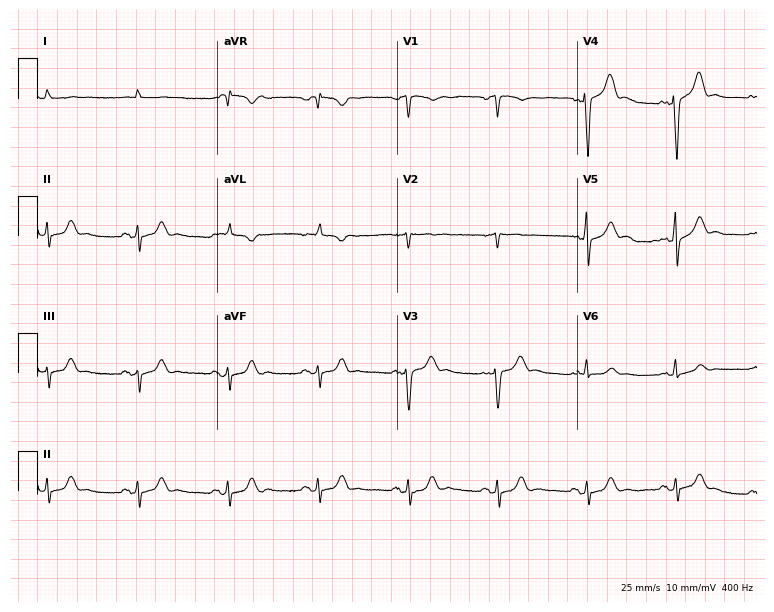
12-lead ECG (7.3-second recording at 400 Hz) from a 59-year-old male patient. Screened for six findings — first-degree AV block, right bundle branch block, left bundle branch block, sinus bradycardia, atrial fibrillation, sinus tachycardia — none is recorded.